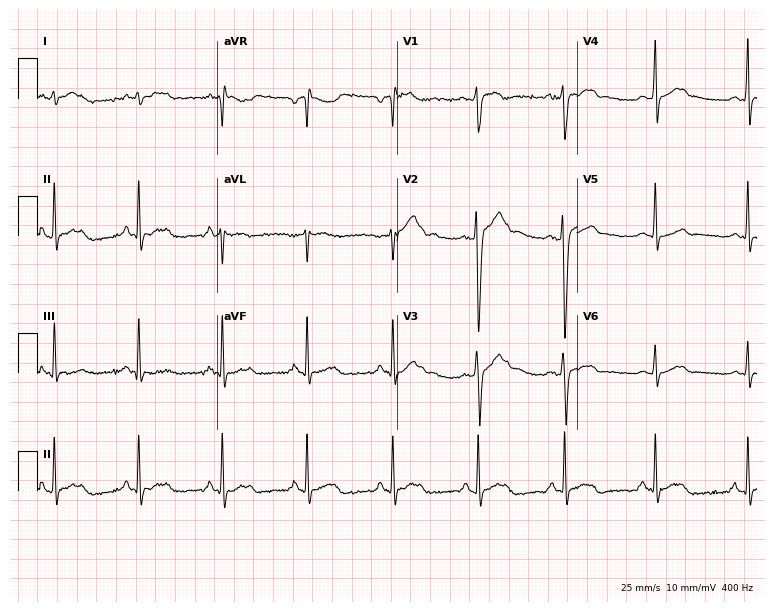
ECG (7.3-second recording at 400 Hz) — a male, 30 years old. Screened for six findings — first-degree AV block, right bundle branch block, left bundle branch block, sinus bradycardia, atrial fibrillation, sinus tachycardia — none is recorded.